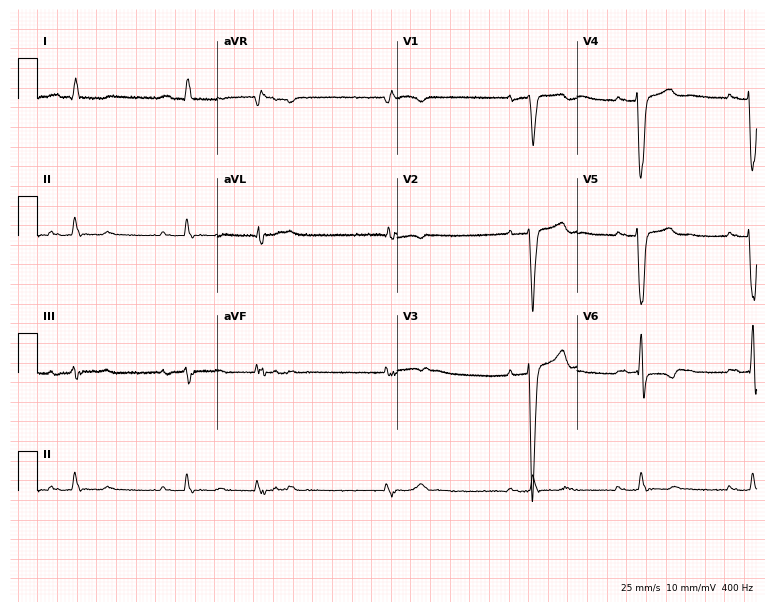
ECG — a 74-year-old male patient. Screened for six findings — first-degree AV block, right bundle branch block (RBBB), left bundle branch block (LBBB), sinus bradycardia, atrial fibrillation (AF), sinus tachycardia — none is recorded. Only these six findings were labelled.